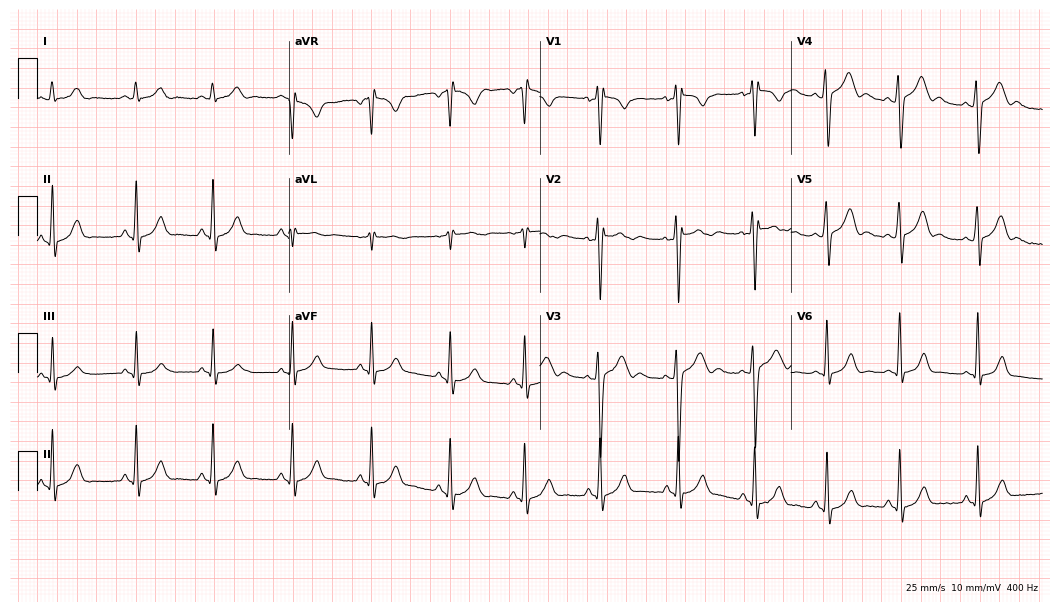
ECG — a male, 17 years old. Screened for six findings — first-degree AV block, right bundle branch block (RBBB), left bundle branch block (LBBB), sinus bradycardia, atrial fibrillation (AF), sinus tachycardia — none is recorded. Only these six findings were labelled.